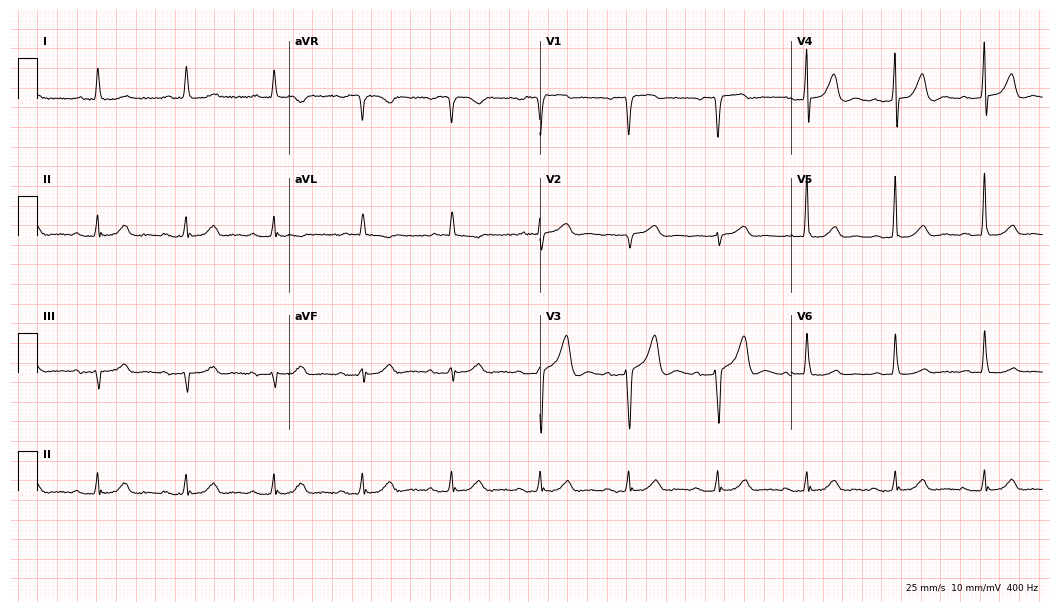
ECG (10.2-second recording at 400 Hz) — a 77-year-old male patient. Labelled as a normal ECG.